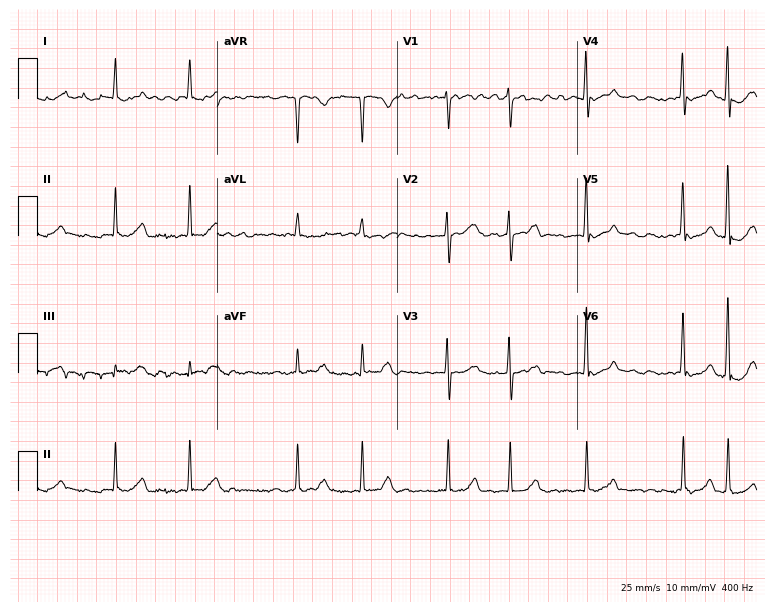
12-lead ECG from a woman, 65 years old. Findings include atrial fibrillation.